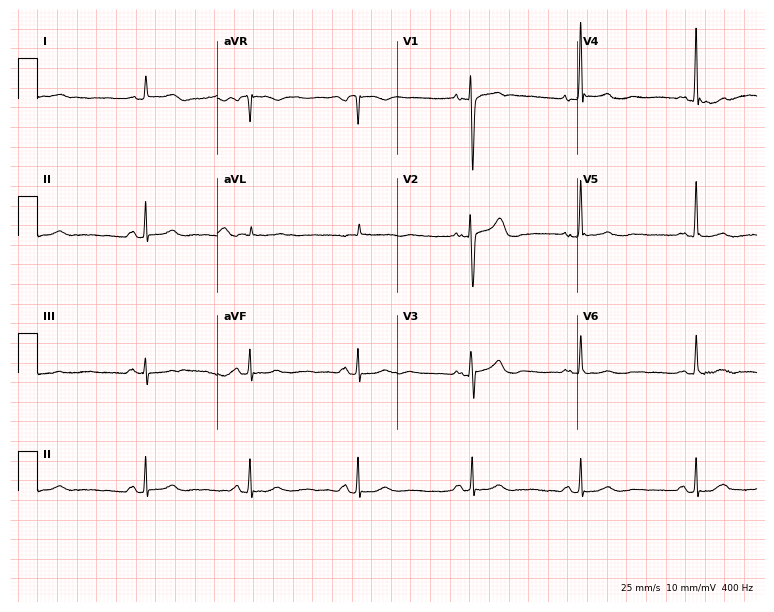
12-lead ECG from an 82-year-old female patient. Recorded interpretation: within normal limits.